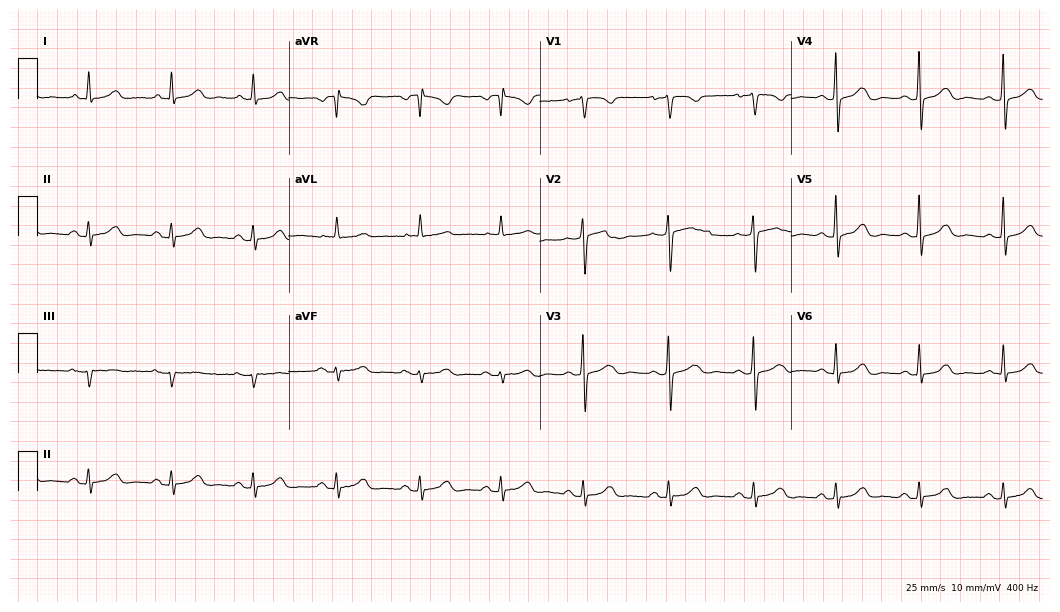
Resting 12-lead electrocardiogram (10.2-second recording at 400 Hz). Patient: a 63-year-old female. Read as a normal ECG.